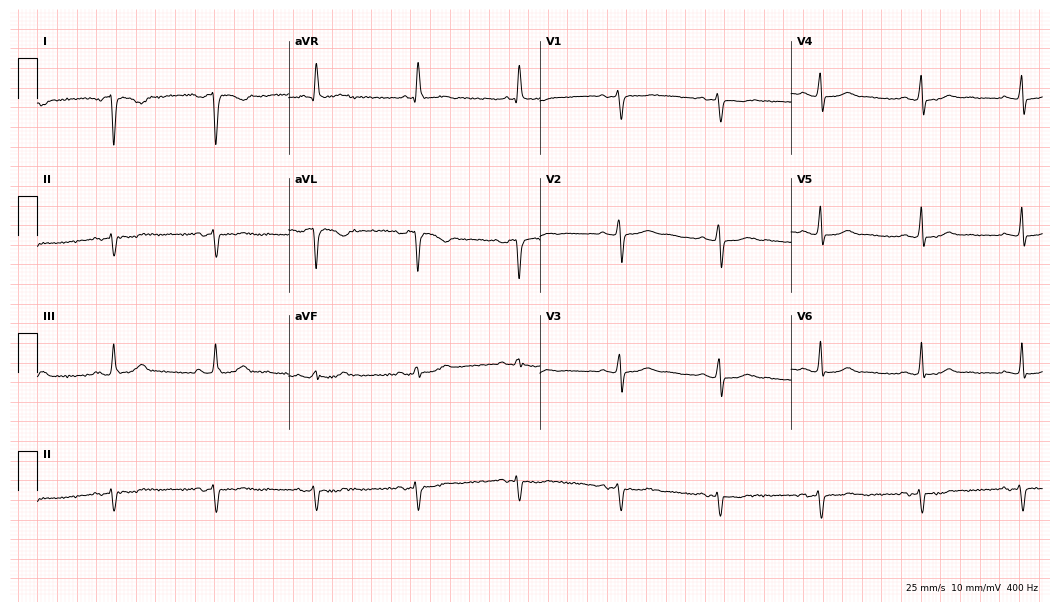
ECG (10.2-second recording at 400 Hz) — a 66-year-old woman. Screened for six findings — first-degree AV block, right bundle branch block, left bundle branch block, sinus bradycardia, atrial fibrillation, sinus tachycardia — none is recorded. Findings outside these six are not listed.